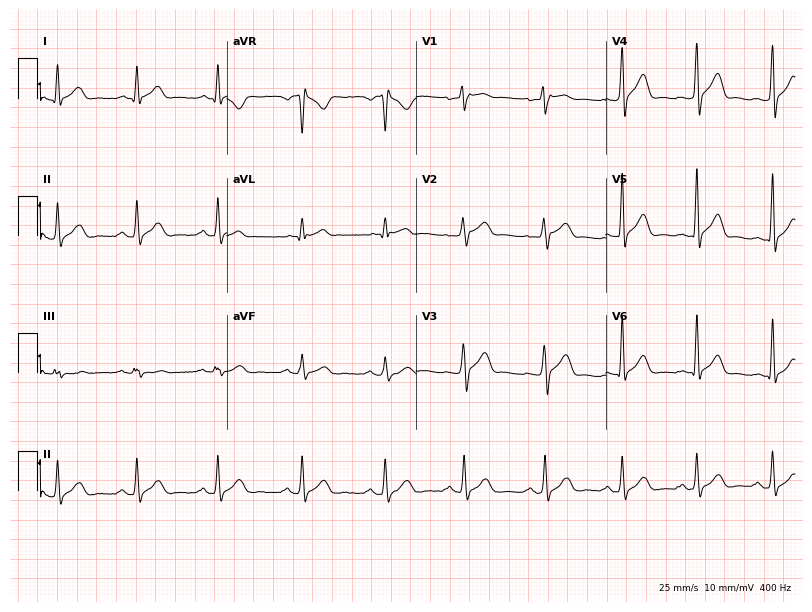
Resting 12-lead electrocardiogram. Patient: a 37-year-old man. None of these six findings is recorded: first-degree AV block, right bundle branch block (RBBB), left bundle branch block (LBBB), sinus bradycardia, atrial fibrillation (AF), sinus tachycardia. Findings outside these six are not listed.